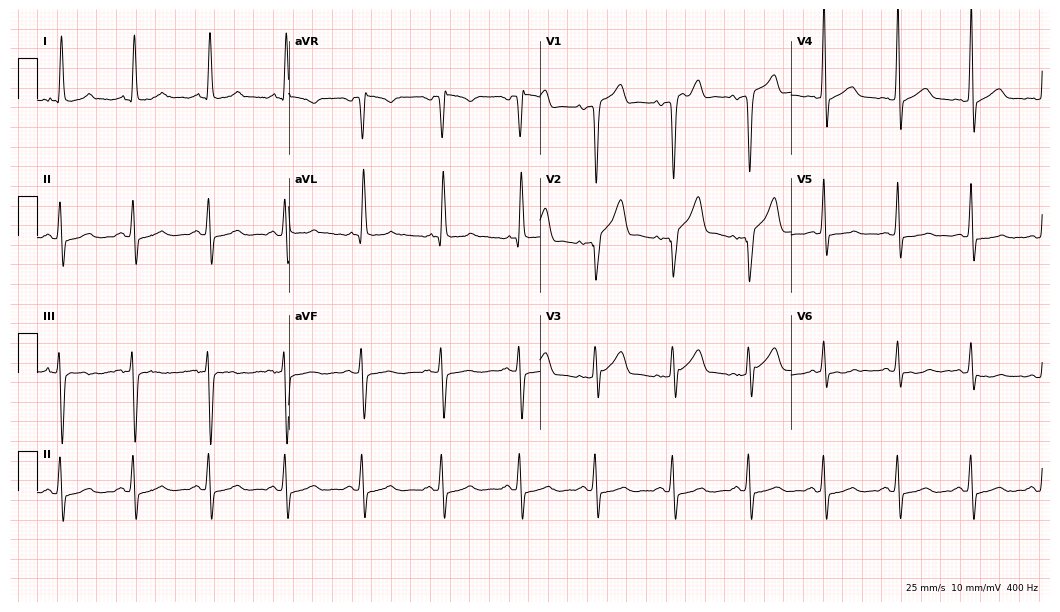
Standard 12-lead ECG recorded from a male patient, 55 years old. None of these six findings is recorded: first-degree AV block, right bundle branch block (RBBB), left bundle branch block (LBBB), sinus bradycardia, atrial fibrillation (AF), sinus tachycardia.